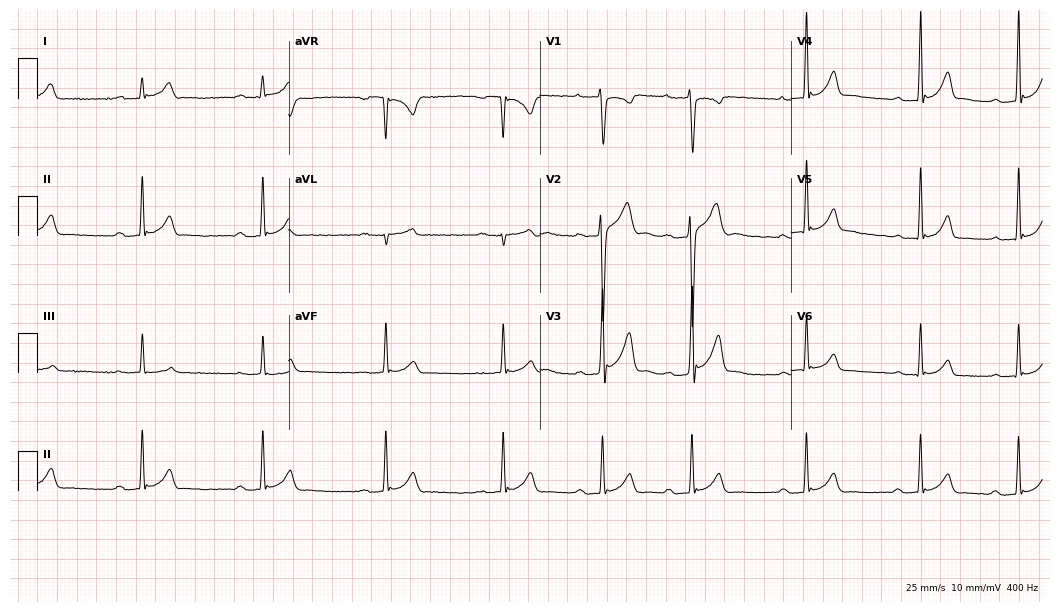
ECG (10.2-second recording at 400 Hz) — a 17-year-old man. Findings include first-degree AV block.